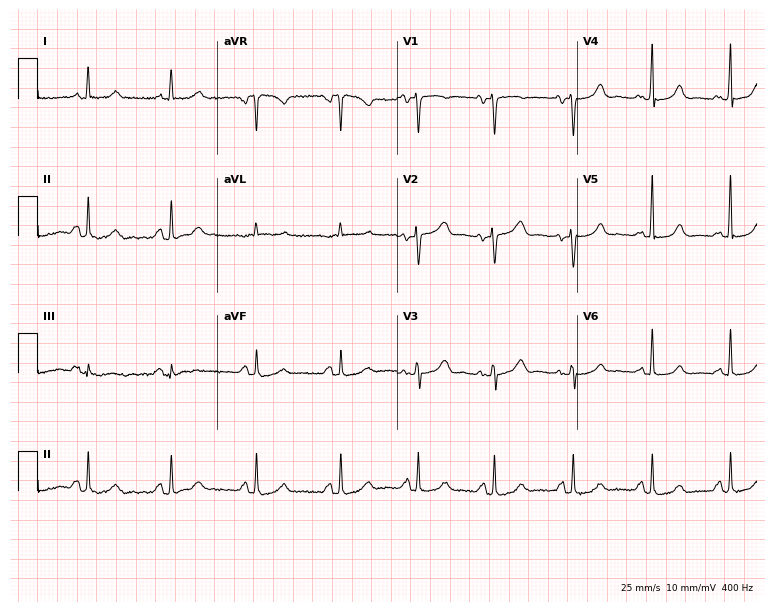
Electrocardiogram (7.3-second recording at 400 Hz), a woman, 39 years old. Of the six screened findings (first-degree AV block, right bundle branch block, left bundle branch block, sinus bradycardia, atrial fibrillation, sinus tachycardia), none is recorded.